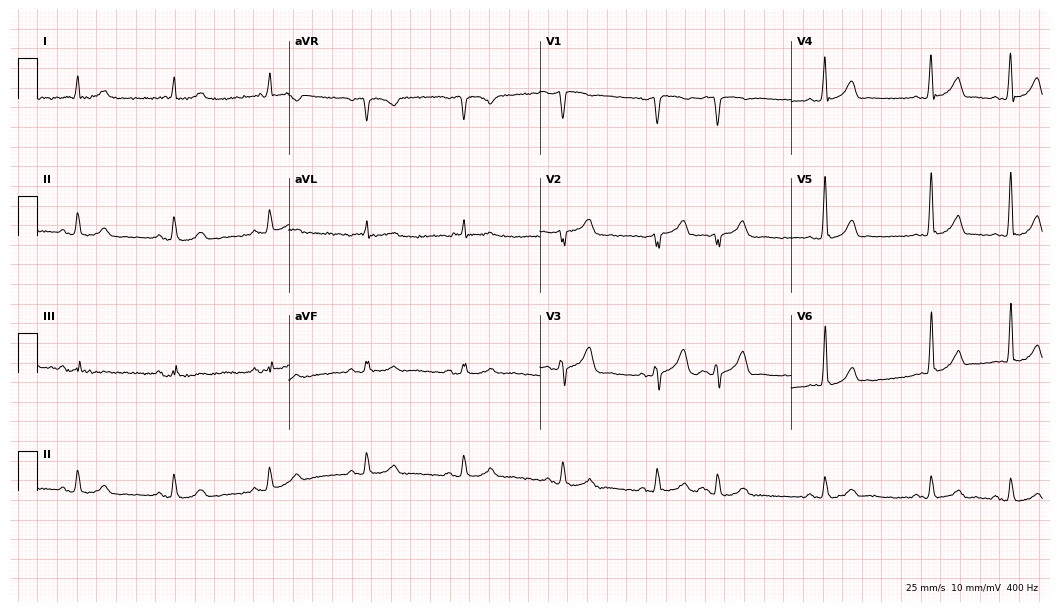
Standard 12-lead ECG recorded from a 78-year-old male patient (10.2-second recording at 400 Hz). None of these six findings is recorded: first-degree AV block, right bundle branch block (RBBB), left bundle branch block (LBBB), sinus bradycardia, atrial fibrillation (AF), sinus tachycardia. Only these six findings were labelled.